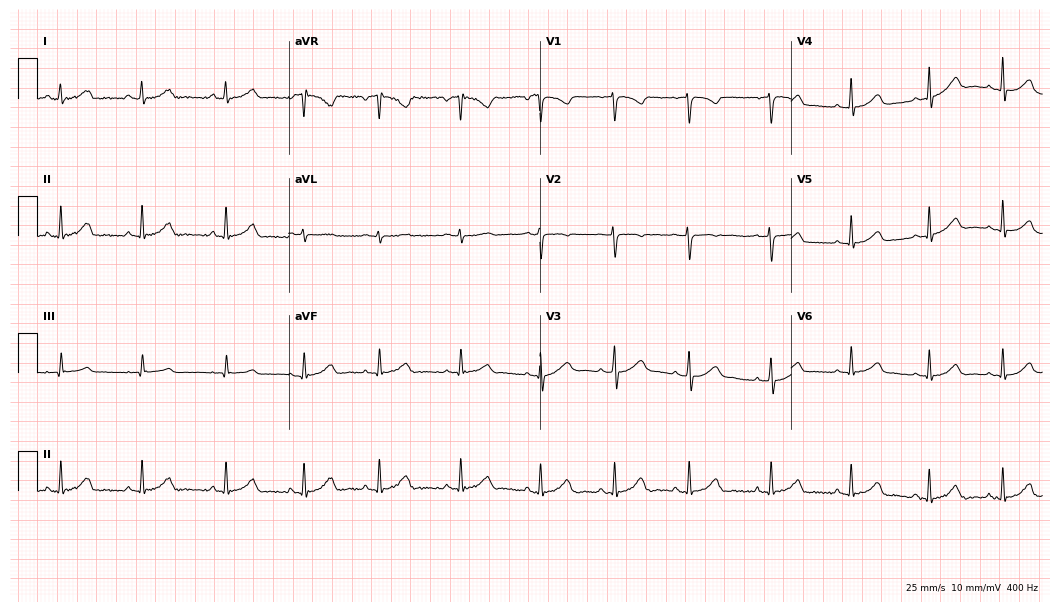
12-lead ECG from a female, 17 years old. Labelled as a normal ECG.